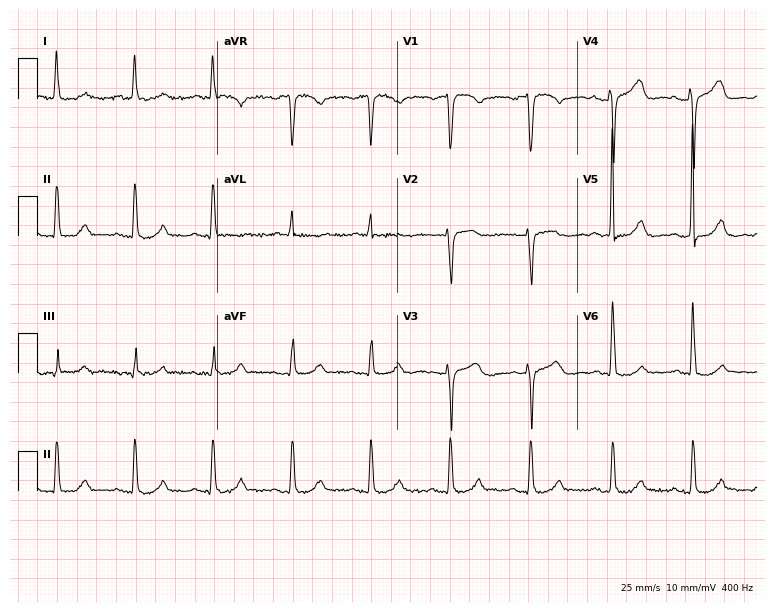
12-lead ECG (7.3-second recording at 400 Hz) from a 77-year-old female. Labelled as a normal ECG.